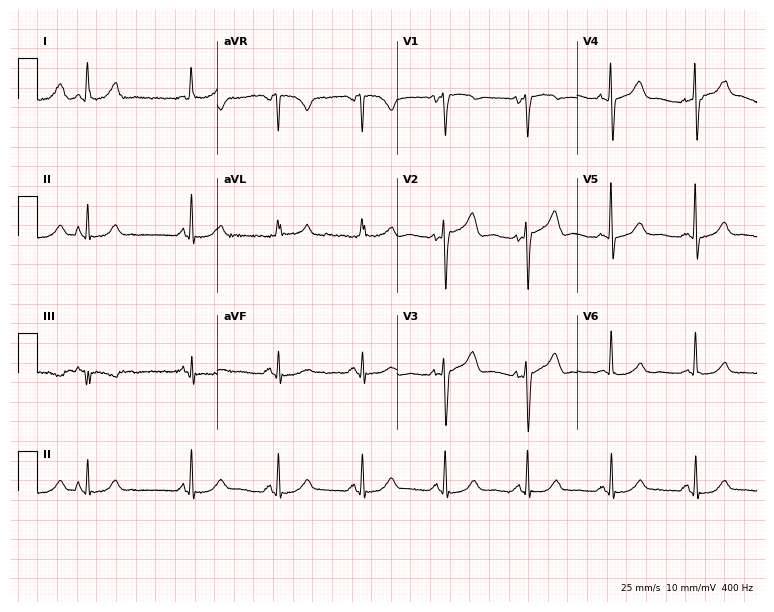
ECG — a female, 71 years old. Screened for six findings — first-degree AV block, right bundle branch block, left bundle branch block, sinus bradycardia, atrial fibrillation, sinus tachycardia — none is recorded. Findings outside these six are not listed.